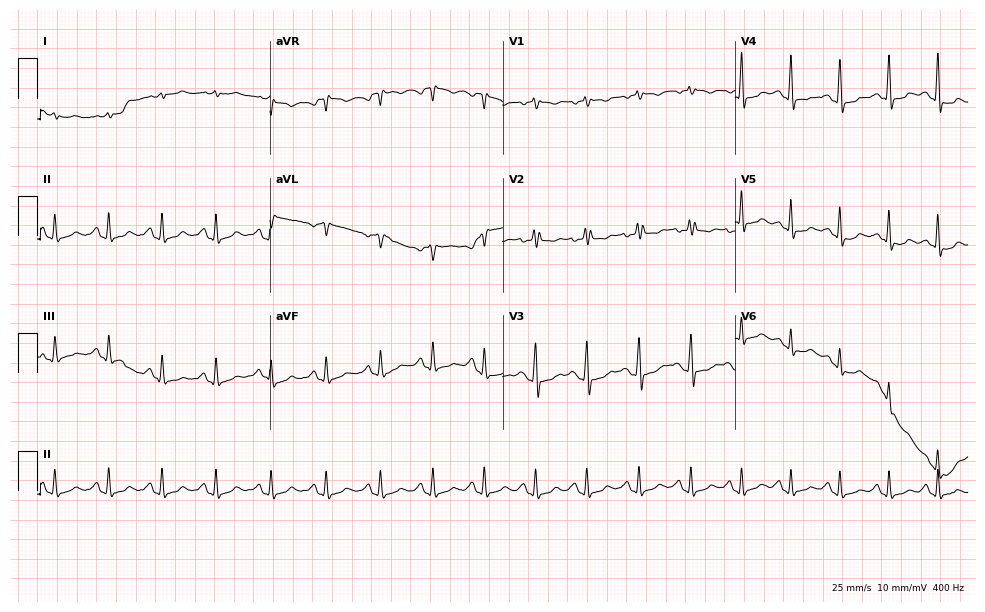
12-lead ECG (9.5-second recording at 400 Hz) from a 30-year-old female. Screened for six findings — first-degree AV block, right bundle branch block, left bundle branch block, sinus bradycardia, atrial fibrillation, sinus tachycardia — none is recorded.